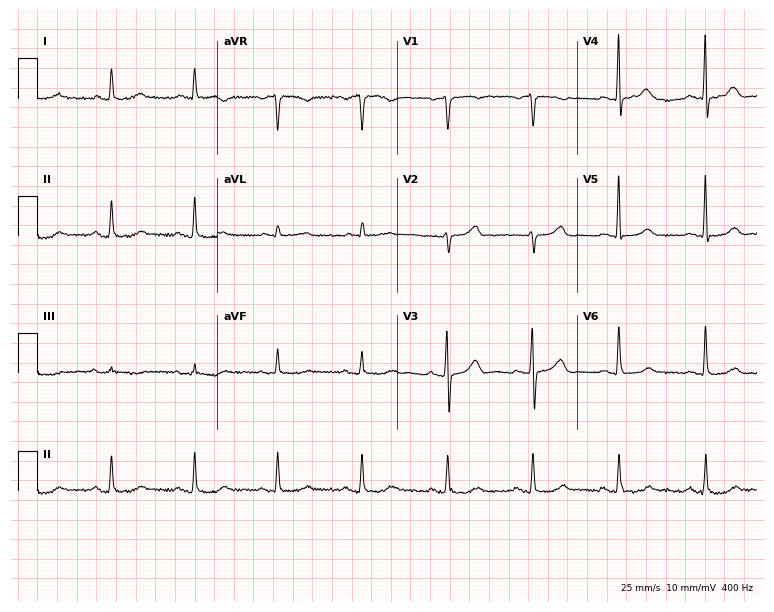
ECG — a woman, 75 years old. Labelled as a normal ECG.